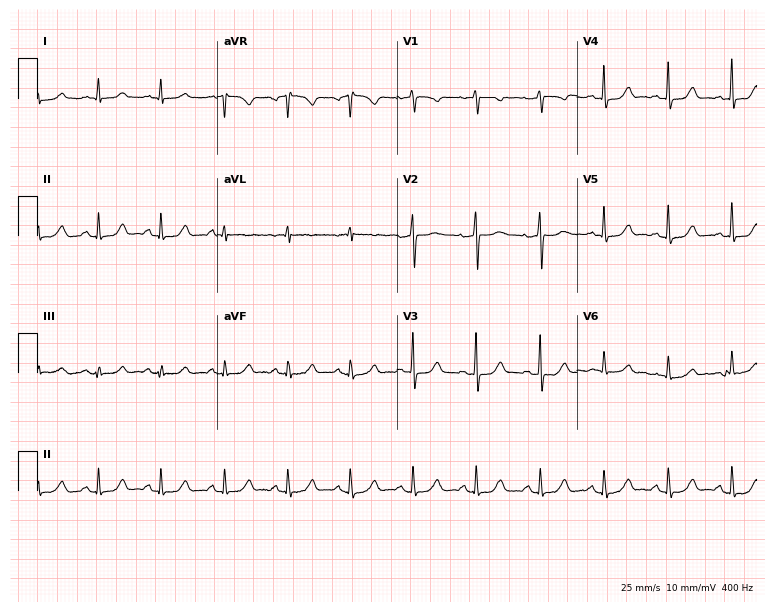
Electrocardiogram (7.3-second recording at 400 Hz), a 61-year-old woman. Overall reading on record: normal ECG.